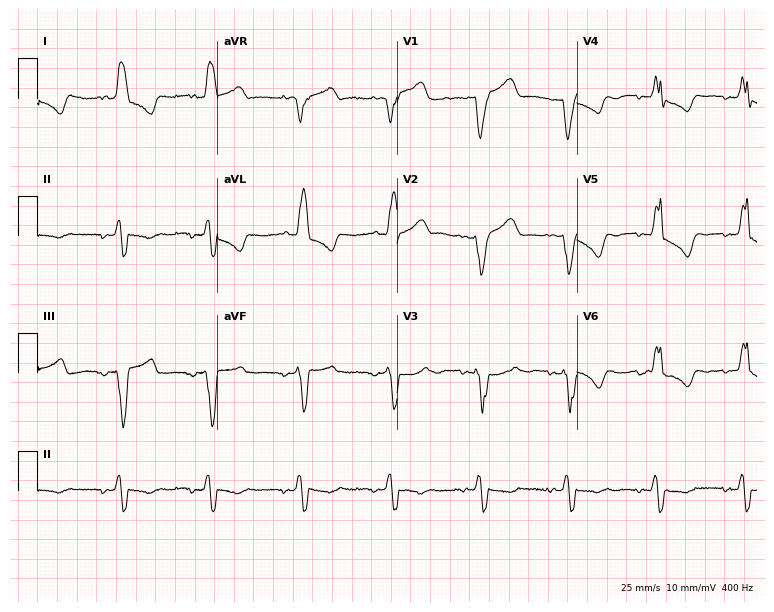
Resting 12-lead electrocardiogram (7.3-second recording at 400 Hz). Patient: an 85-year-old female. The tracing shows left bundle branch block (LBBB).